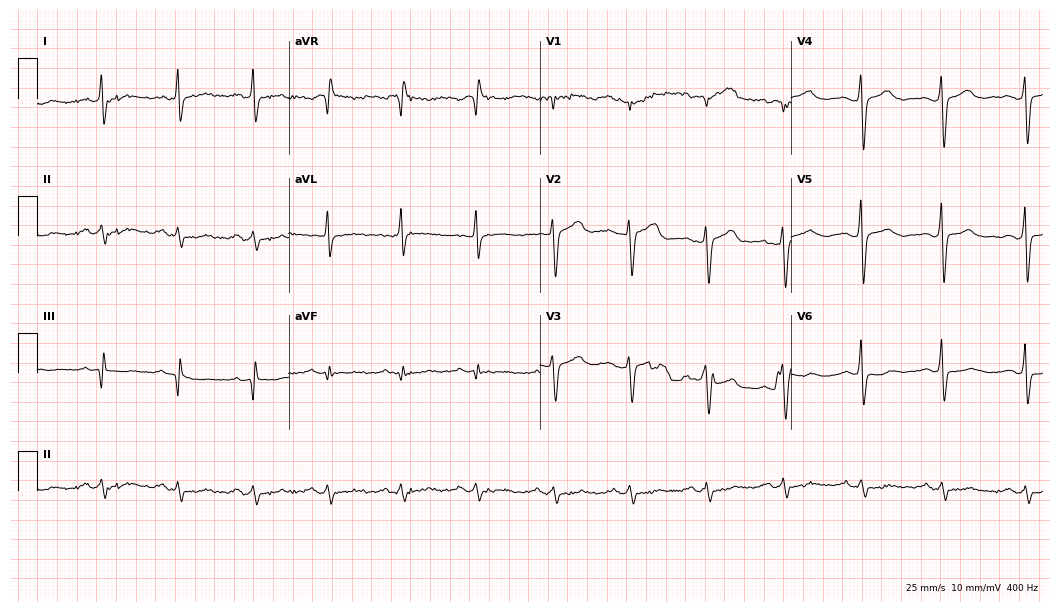
ECG — a 49-year-old man. Screened for six findings — first-degree AV block, right bundle branch block, left bundle branch block, sinus bradycardia, atrial fibrillation, sinus tachycardia — none is recorded.